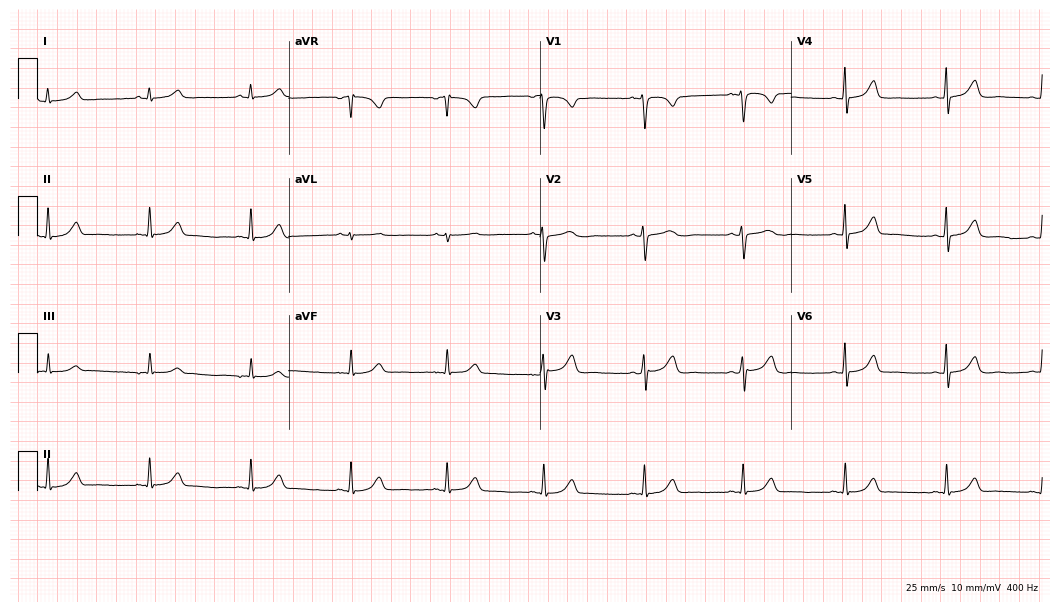
Standard 12-lead ECG recorded from a 47-year-old female (10.2-second recording at 400 Hz). Read as a normal ECG.